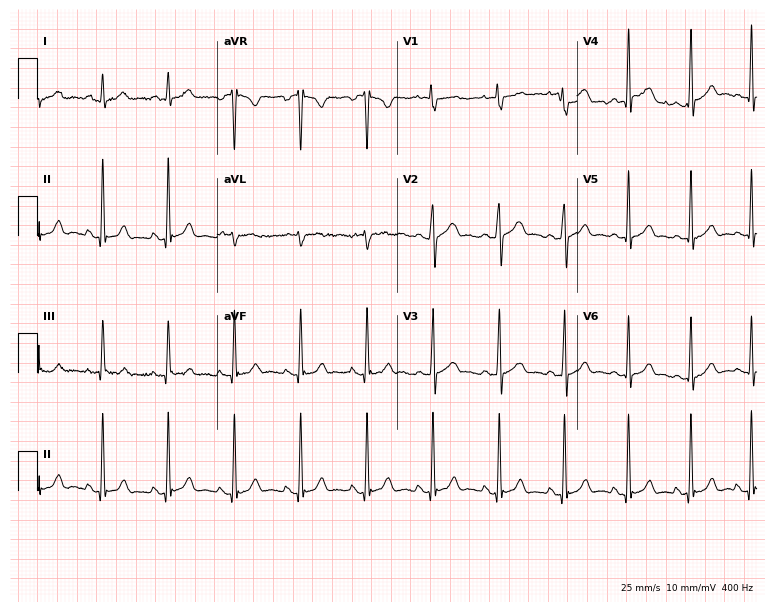
12-lead ECG from a 19-year-old woman. Screened for six findings — first-degree AV block, right bundle branch block (RBBB), left bundle branch block (LBBB), sinus bradycardia, atrial fibrillation (AF), sinus tachycardia — none is recorded.